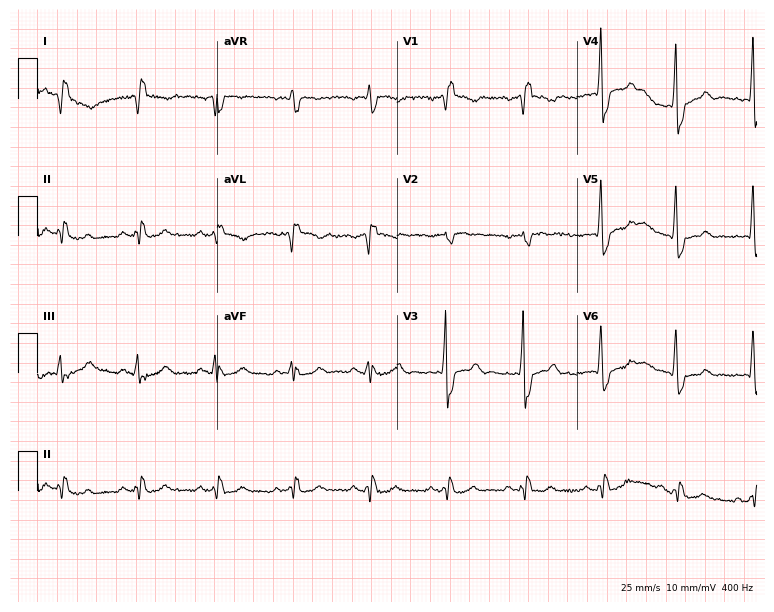
12-lead ECG (7.3-second recording at 400 Hz) from an 81-year-old male. Screened for six findings — first-degree AV block, right bundle branch block, left bundle branch block, sinus bradycardia, atrial fibrillation, sinus tachycardia — none is recorded.